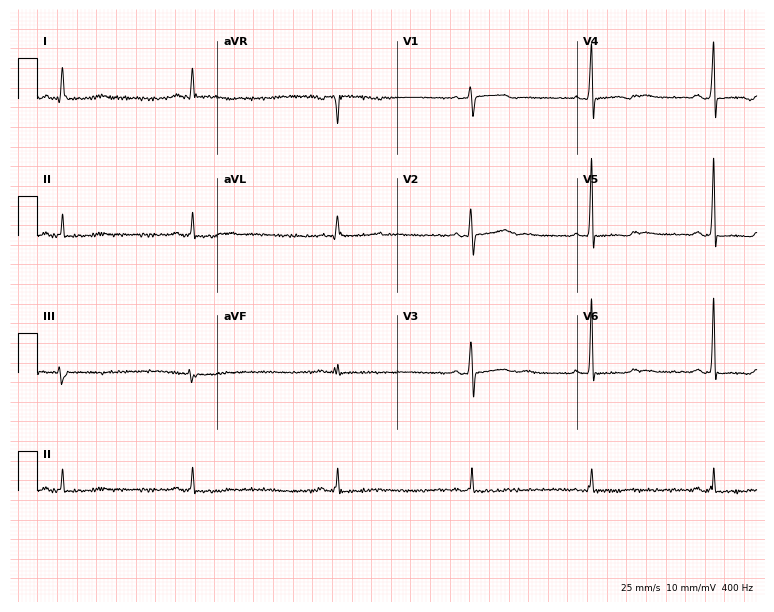
ECG (7.3-second recording at 400 Hz) — a 62-year-old female patient. Screened for six findings — first-degree AV block, right bundle branch block (RBBB), left bundle branch block (LBBB), sinus bradycardia, atrial fibrillation (AF), sinus tachycardia — none is recorded.